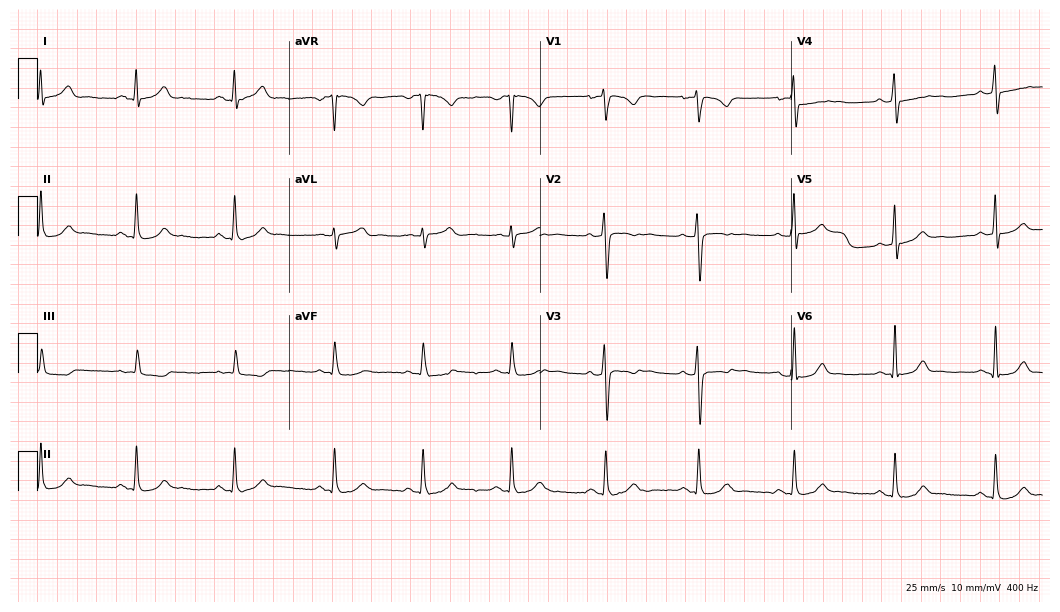
Electrocardiogram, a female, 27 years old. Of the six screened findings (first-degree AV block, right bundle branch block (RBBB), left bundle branch block (LBBB), sinus bradycardia, atrial fibrillation (AF), sinus tachycardia), none is recorded.